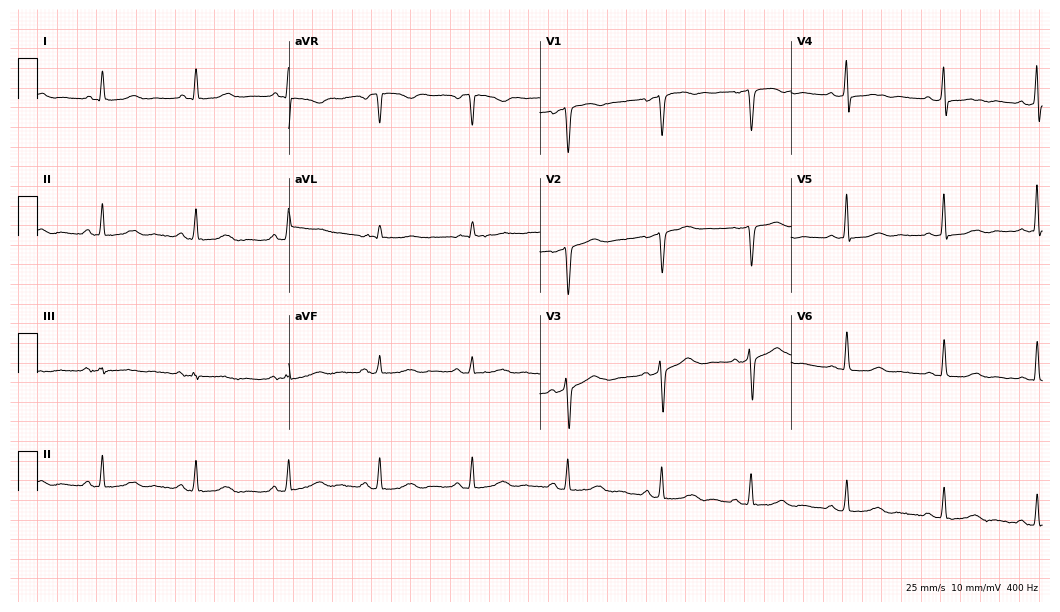
12-lead ECG from a 56-year-old woman. Screened for six findings — first-degree AV block, right bundle branch block, left bundle branch block, sinus bradycardia, atrial fibrillation, sinus tachycardia — none is recorded. Only these six findings were labelled.